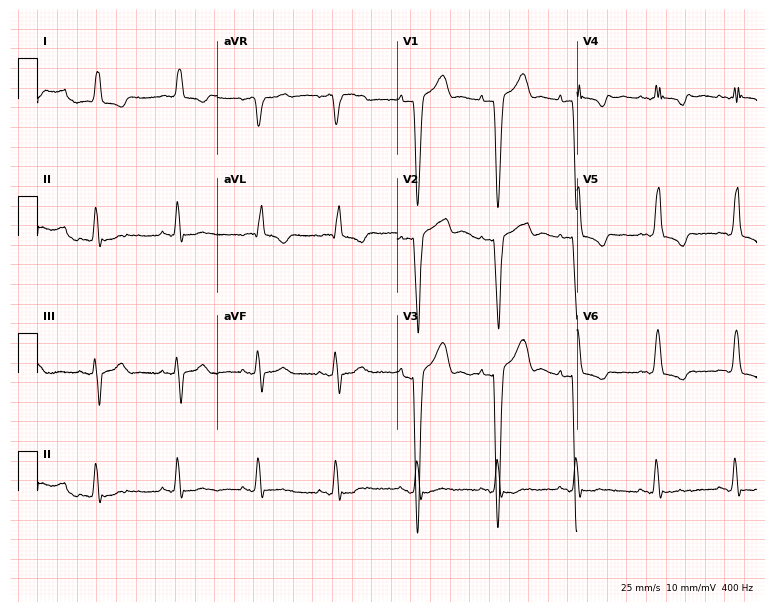
ECG — an 84-year-old woman. Screened for six findings — first-degree AV block, right bundle branch block, left bundle branch block, sinus bradycardia, atrial fibrillation, sinus tachycardia — none is recorded. Only these six findings were labelled.